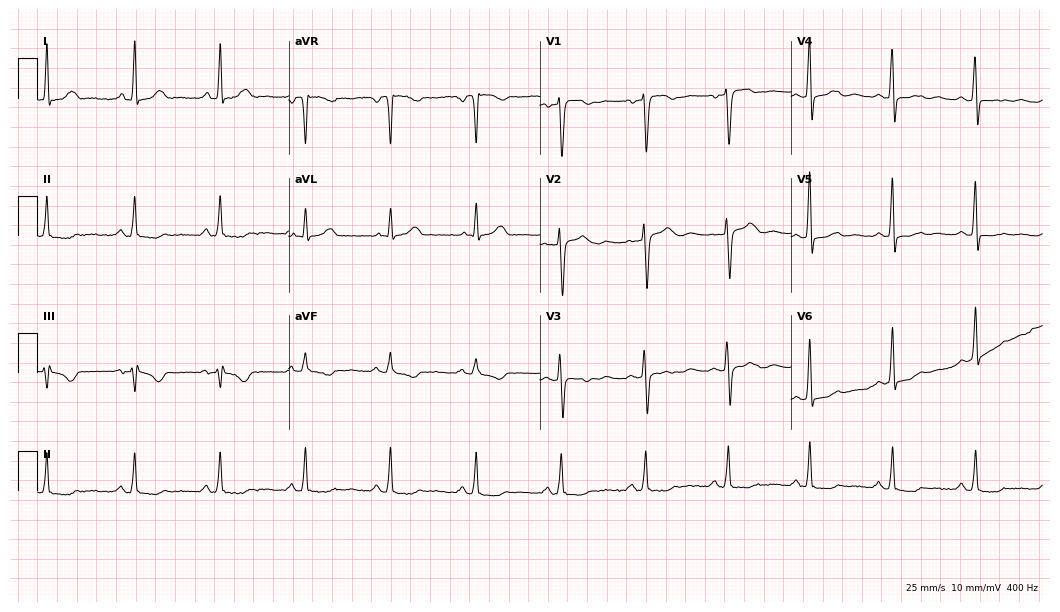
12-lead ECG from a 50-year-old woman (10.2-second recording at 400 Hz). No first-degree AV block, right bundle branch block (RBBB), left bundle branch block (LBBB), sinus bradycardia, atrial fibrillation (AF) or sinus tachycardia recorded for this tracing. Findings outside these six are not listed.